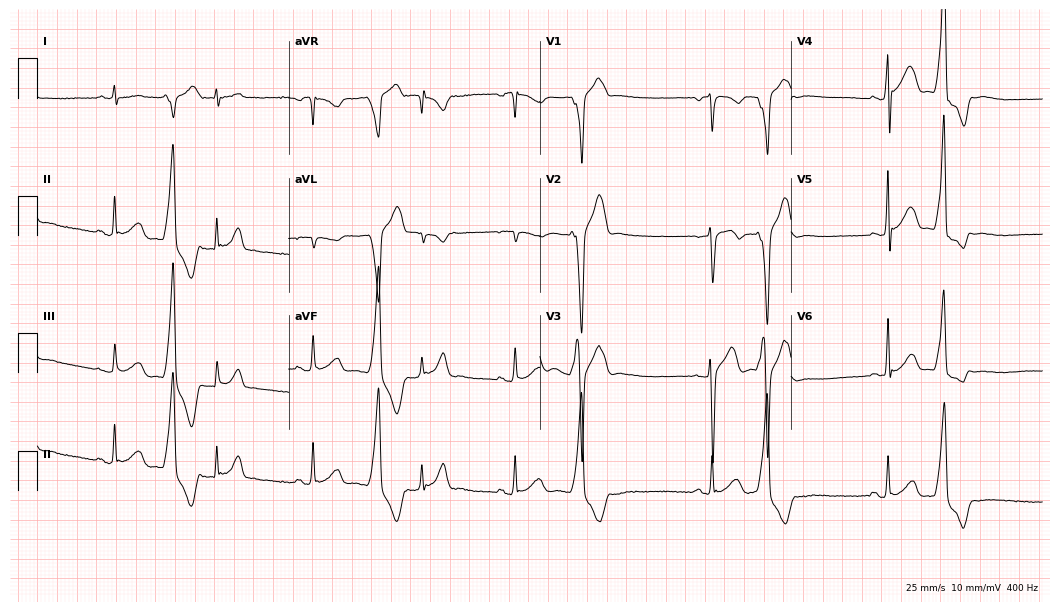
Electrocardiogram (10.2-second recording at 400 Hz), a 23-year-old male patient. Of the six screened findings (first-degree AV block, right bundle branch block, left bundle branch block, sinus bradycardia, atrial fibrillation, sinus tachycardia), none is recorded. Only these six findings were labelled.